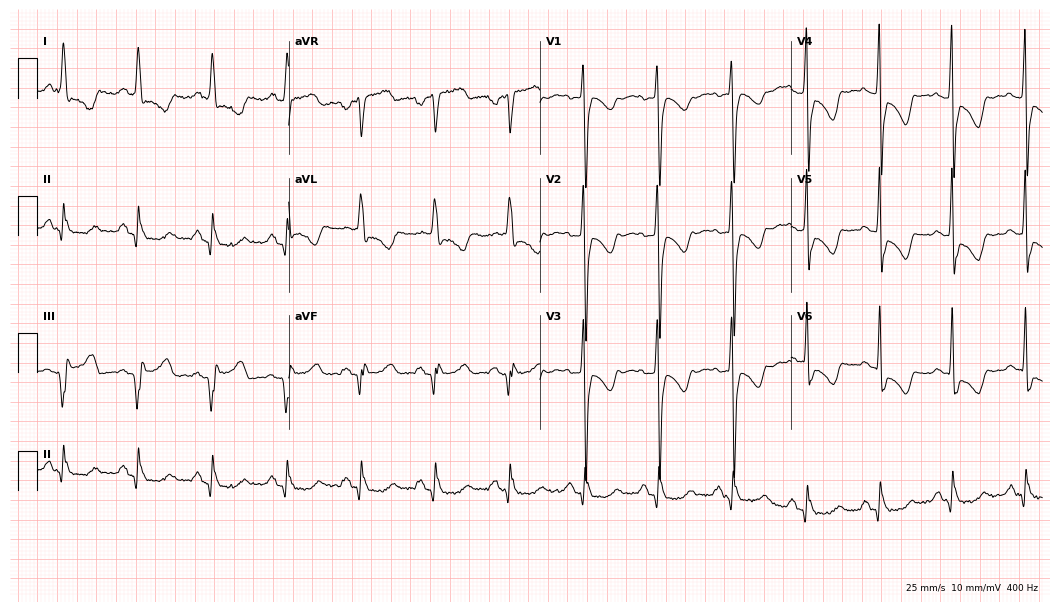
12-lead ECG (10.2-second recording at 400 Hz) from a 67-year-old female. Screened for six findings — first-degree AV block, right bundle branch block, left bundle branch block, sinus bradycardia, atrial fibrillation, sinus tachycardia — none is recorded.